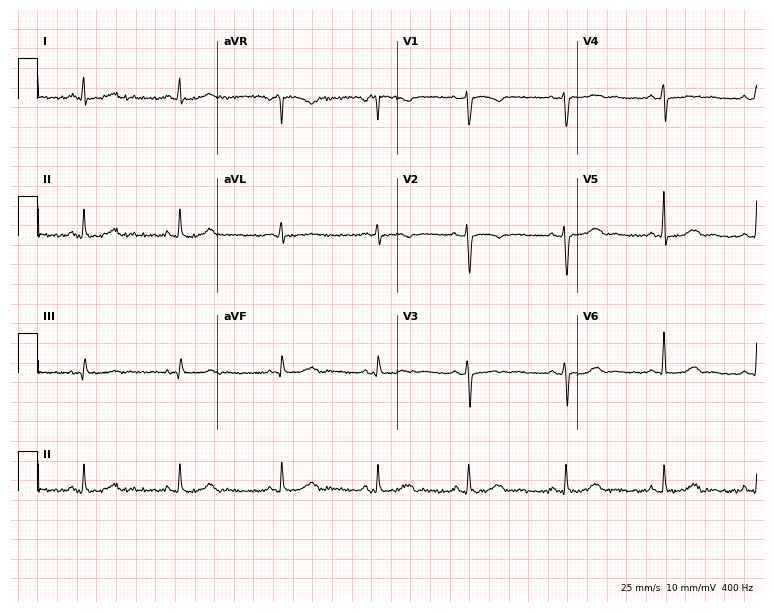
Resting 12-lead electrocardiogram. Patient: a female, 45 years old. None of these six findings is recorded: first-degree AV block, right bundle branch block (RBBB), left bundle branch block (LBBB), sinus bradycardia, atrial fibrillation (AF), sinus tachycardia. Findings outside these six are not listed.